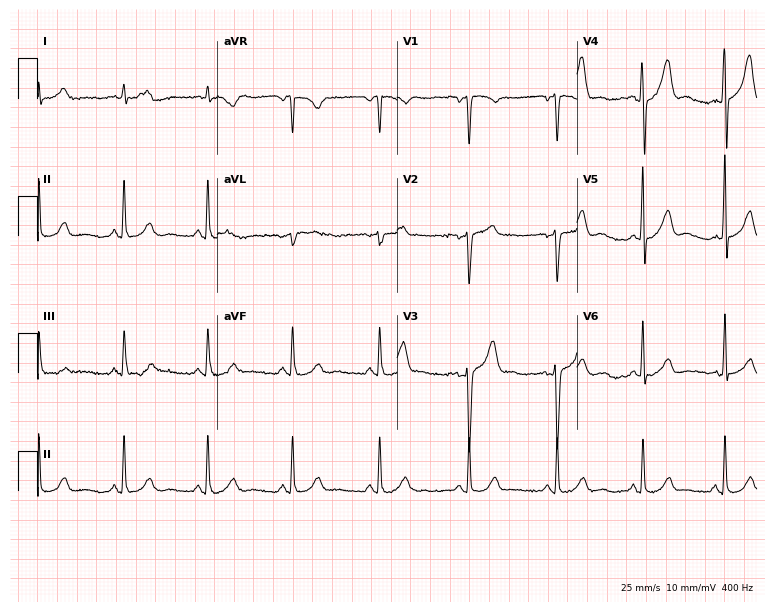
12-lead ECG (7.3-second recording at 400 Hz) from a 53-year-old male patient. Labelled as a normal ECG.